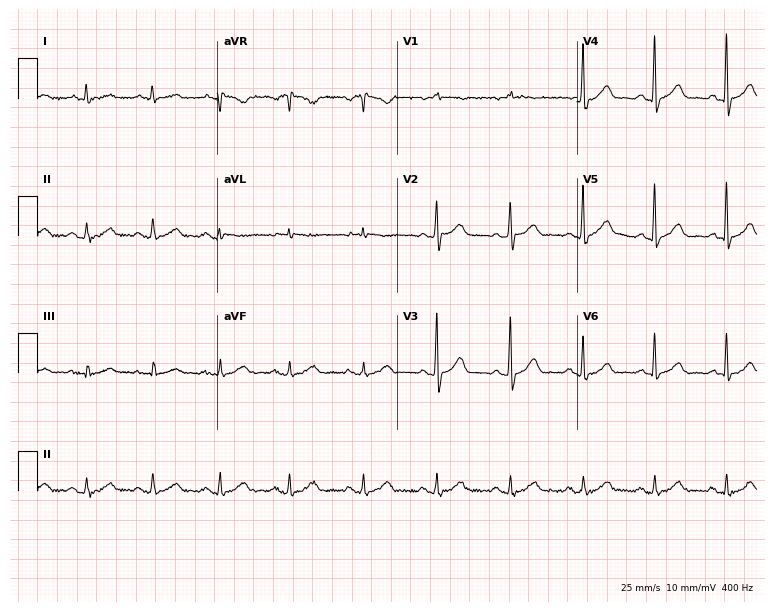
12-lead ECG from a female patient, 70 years old. Screened for six findings — first-degree AV block, right bundle branch block, left bundle branch block, sinus bradycardia, atrial fibrillation, sinus tachycardia — none is recorded. Only these six findings were labelled.